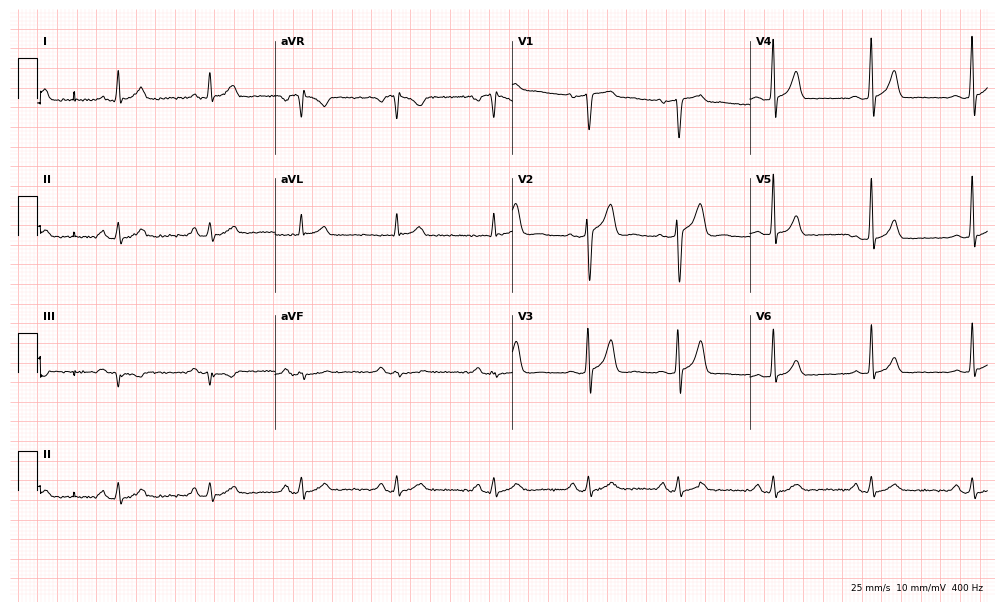
ECG (9.7-second recording at 400 Hz) — a female, 40 years old. Labelled as a normal ECG.